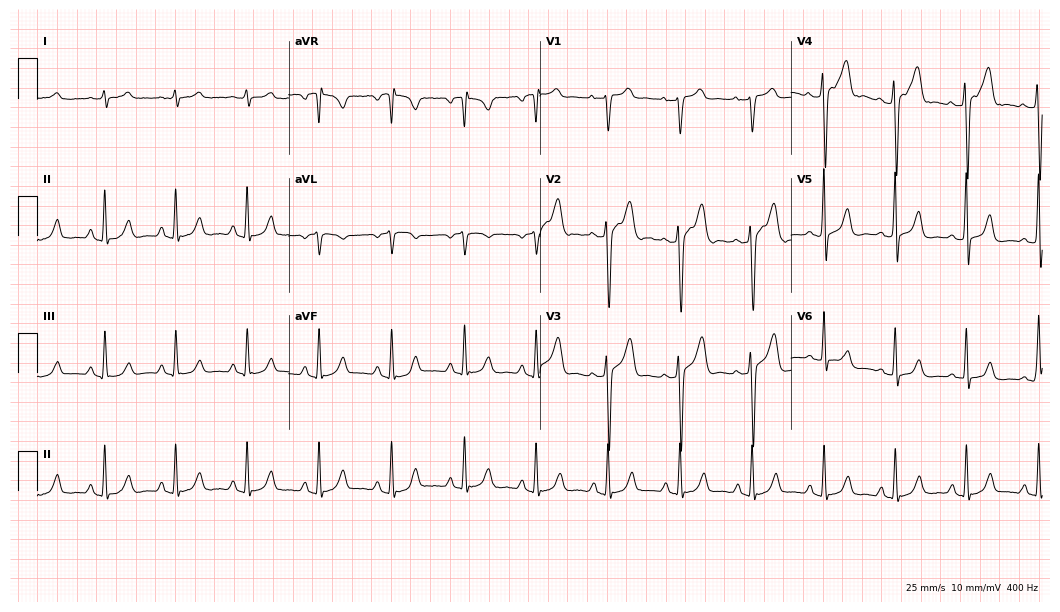
12-lead ECG (10.2-second recording at 400 Hz) from a male patient, 60 years old. Labelled as a normal ECG.